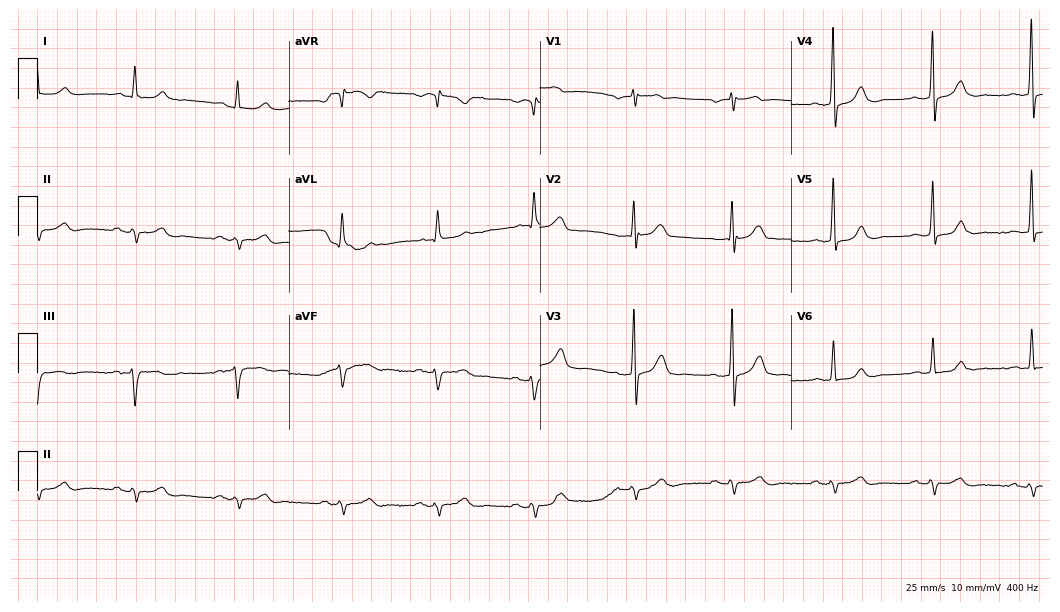
Standard 12-lead ECG recorded from a 69-year-old male. None of these six findings is recorded: first-degree AV block, right bundle branch block, left bundle branch block, sinus bradycardia, atrial fibrillation, sinus tachycardia.